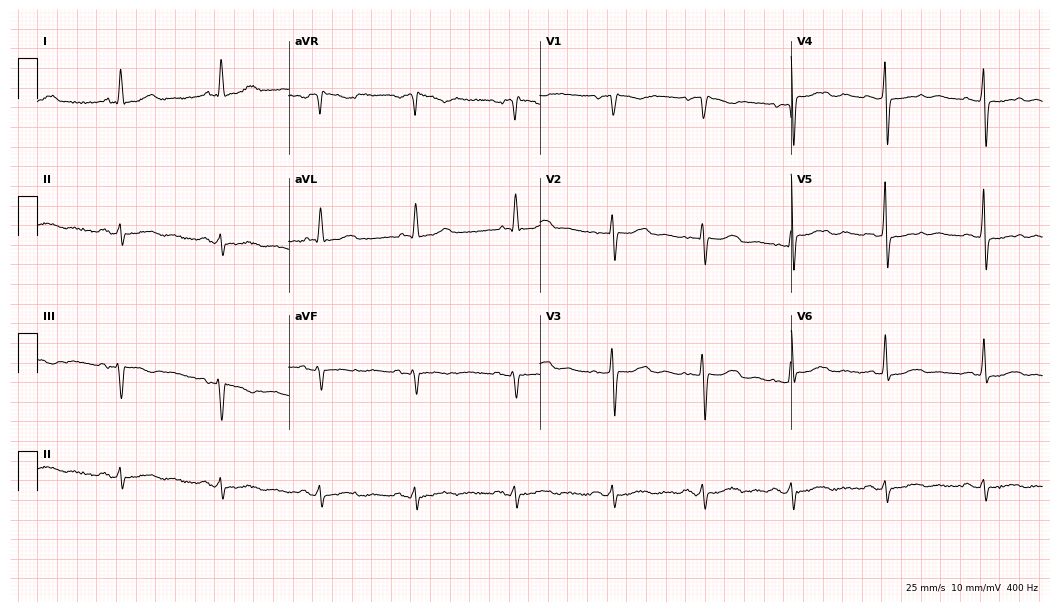
12-lead ECG from a 77-year-old male. No first-degree AV block, right bundle branch block, left bundle branch block, sinus bradycardia, atrial fibrillation or sinus tachycardia recorded for this tracing. Other findings, if any, are not listed.